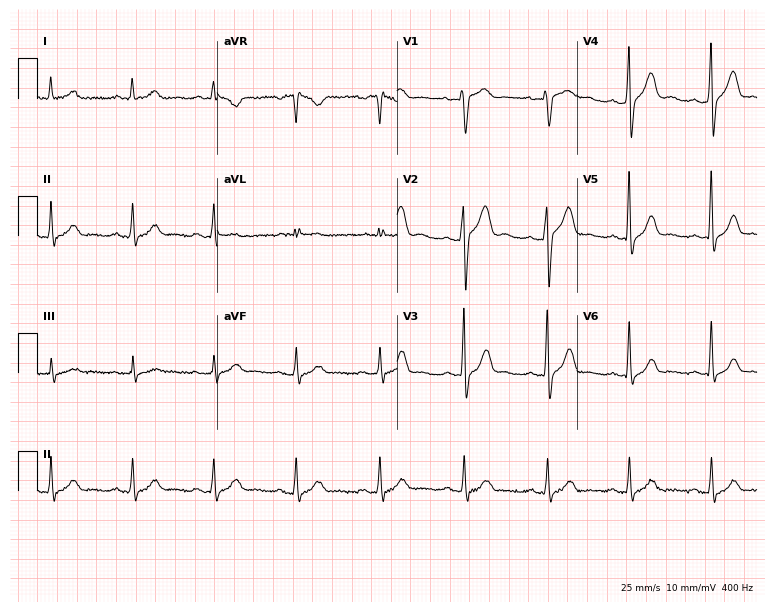
Resting 12-lead electrocardiogram. Patient: a male, 47 years old. Read as a normal ECG.